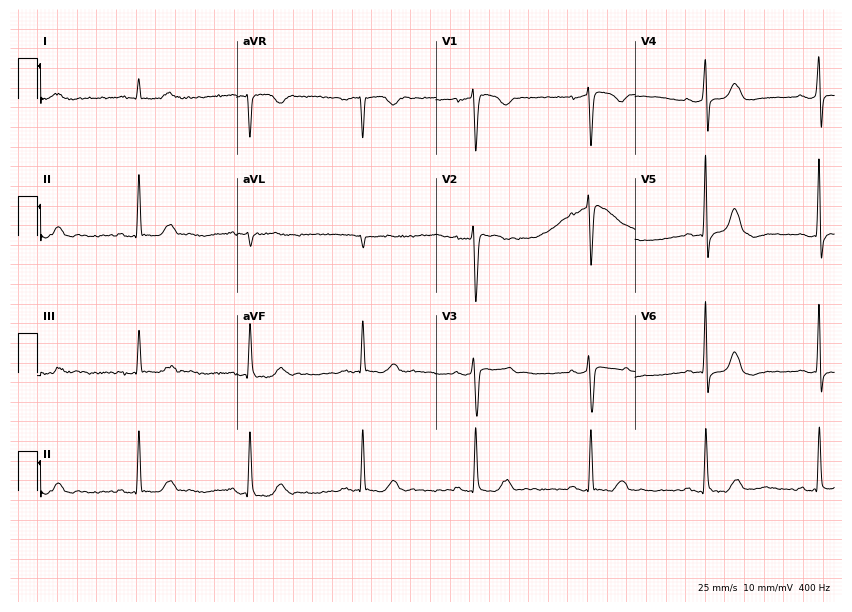
Electrocardiogram, a 72-year-old female patient. Of the six screened findings (first-degree AV block, right bundle branch block, left bundle branch block, sinus bradycardia, atrial fibrillation, sinus tachycardia), none is recorded. Other findings, if any, are not listed.